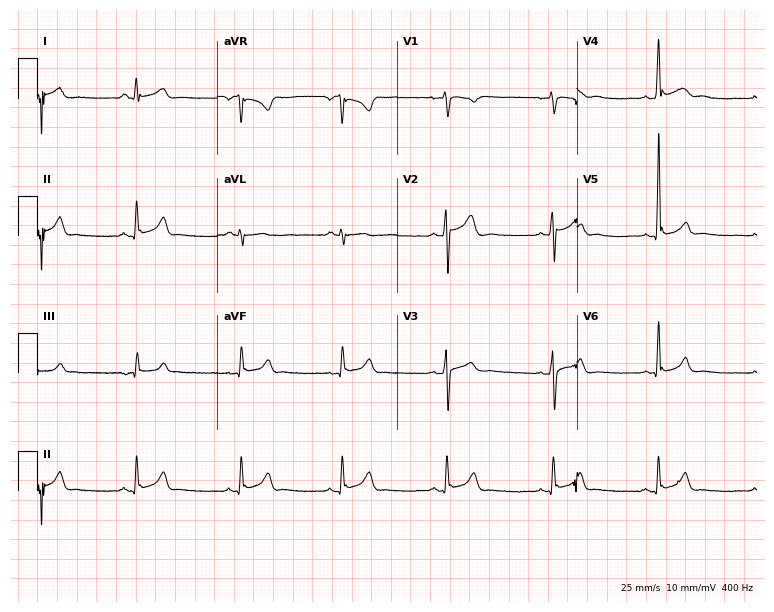
12-lead ECG from a 30-year-old man (7.3-second recording at 400 Hz). Recorded interpretation: within normal limits.